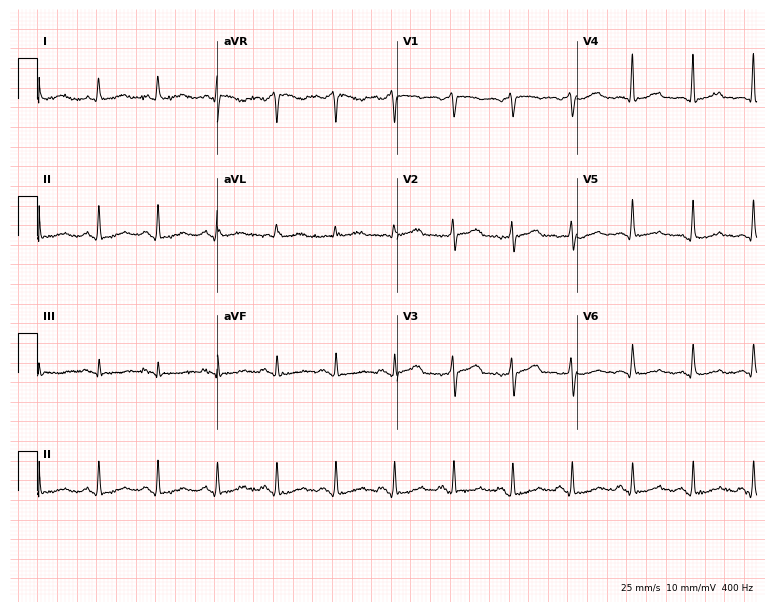
12-lead ECG from a woman, 63 years old. No first-degree AV block, right bundle branch block, left bundle branch block, sinus bradycardia, atrial fibrillation or sinus tachycardia recorded for this tracing. Only these six findings were labelled.